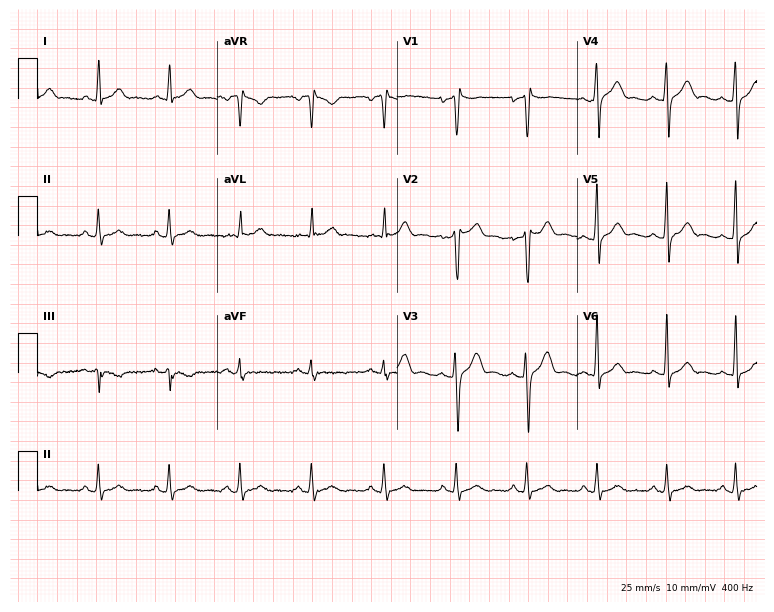
Resting 12-lead electrocardiogram (7.3-second recording at 400 Hz). Patient: a man, 24 years old. Read as a normal ECG.